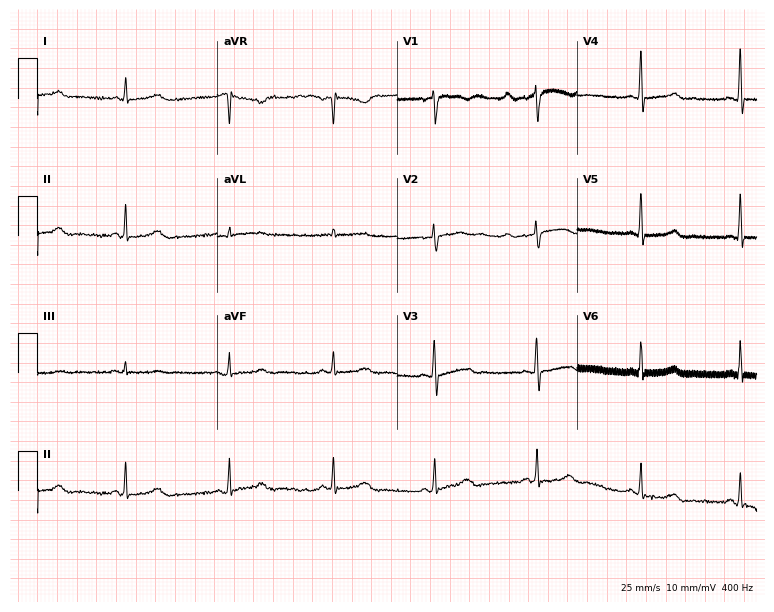
Standard 12-lead ECG recorded from a female, 49 years old. Read as a normal ECG.